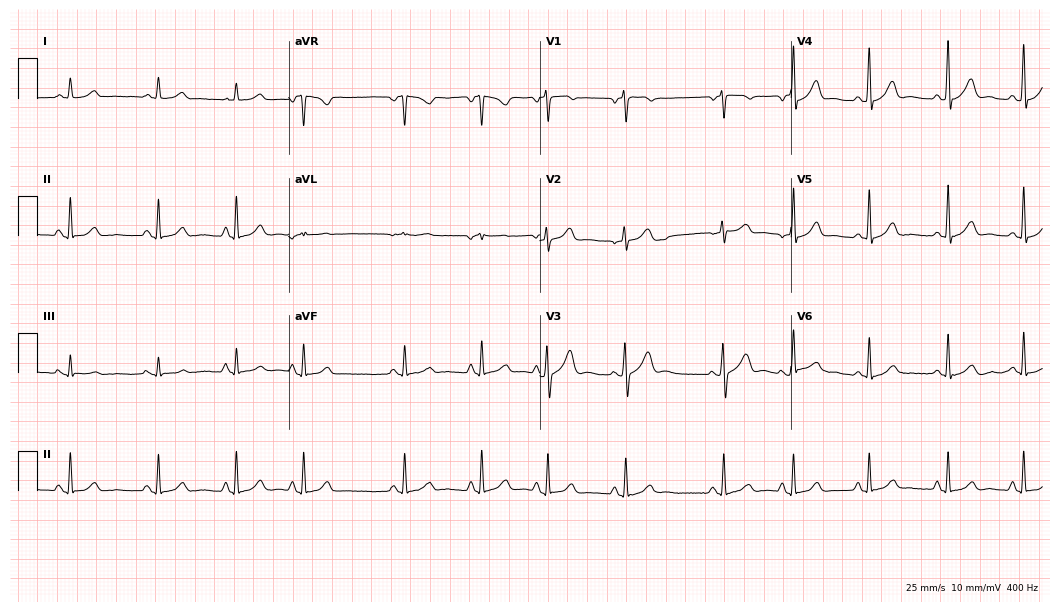
12-lead ECG from a woman, 30 years old (10.2-second recording at 400 Hz). Recorded interpretation: within normal limits.